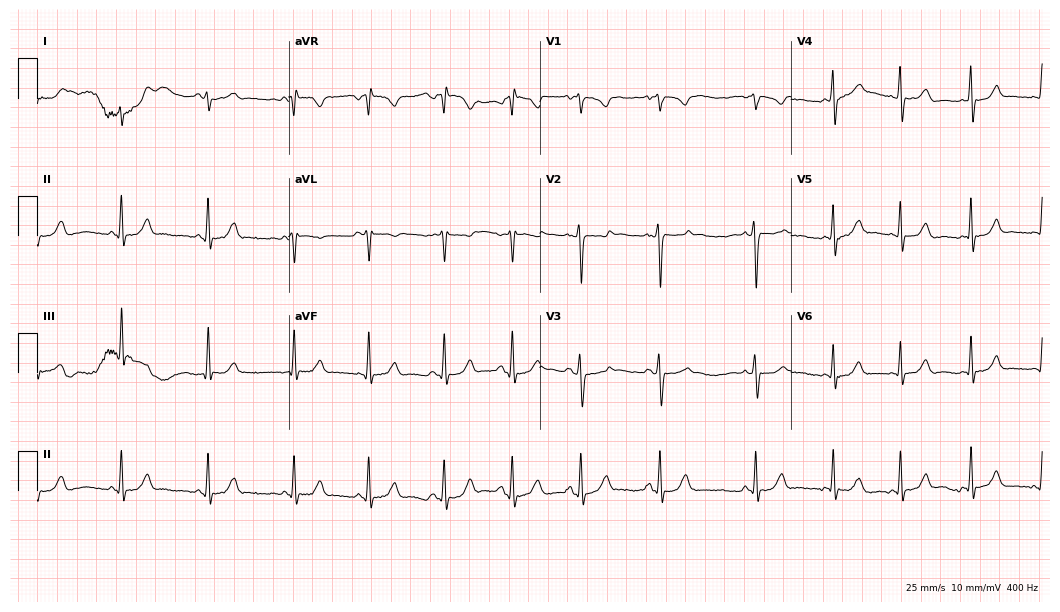
Resting 12-lead electrocardiogram. Patient: an 18-year-old woman. None of these six findings is recorded: first-degree AV block, right bundle branch block, left bundle branch block, sinus bradycardia, atrial fibrillation, sinus tachycardia.